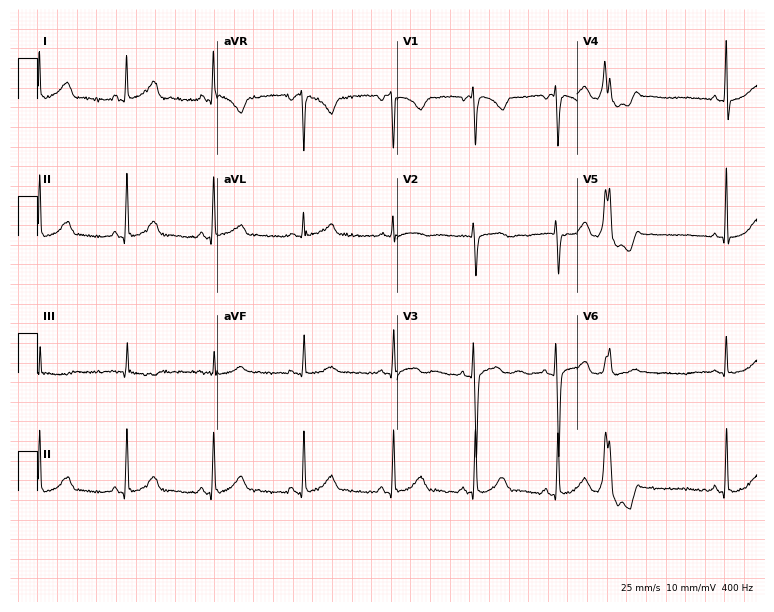
Electrocardiogram, a woman, 38 years old. Overall reading on record: normal ECG.